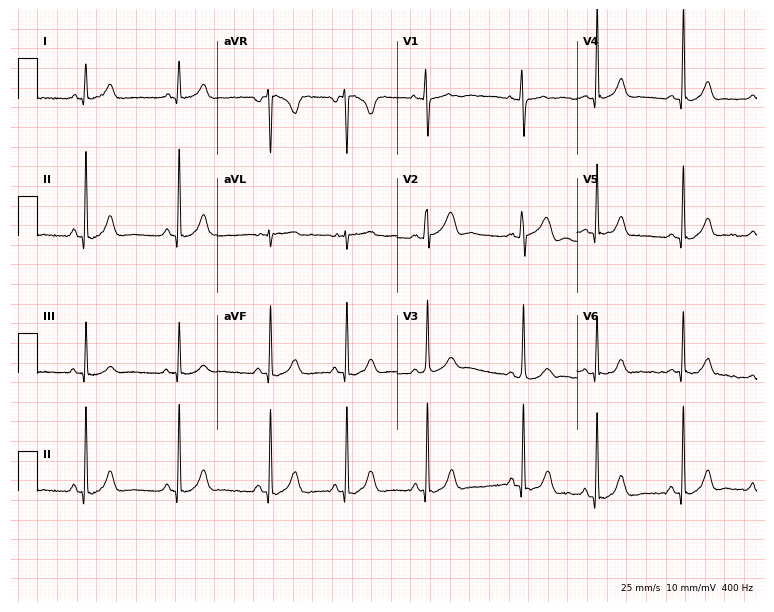
12-lead ECG from a 19-year-old female. Recorded interpretation: within normal limits.